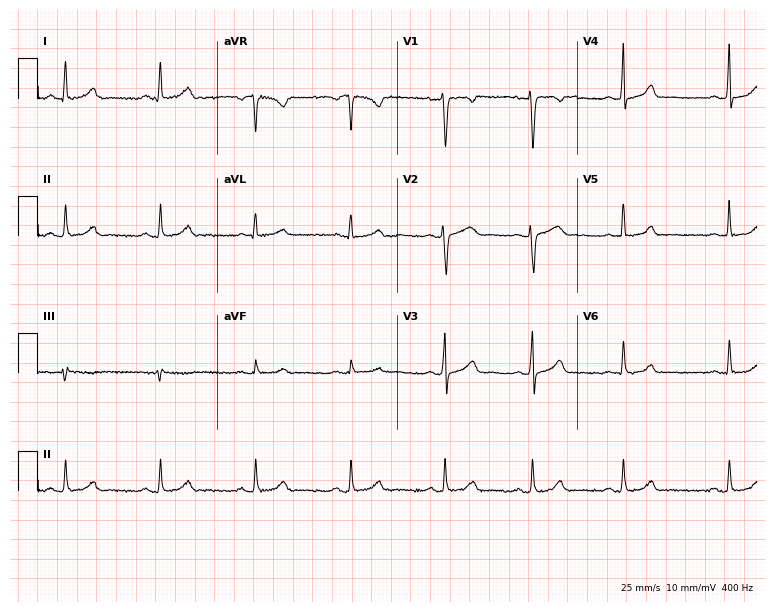
Standard 12-lead ECG recorded from a 29-year-old female. None of these six findings is recorded: first-degree AV block, right bundle branch block (RBBB), left bundle branch block (LBBB), sinus bradycardia, atrial fibrillation (AF), sinus tachycardia. Findings outside these six are not listed.